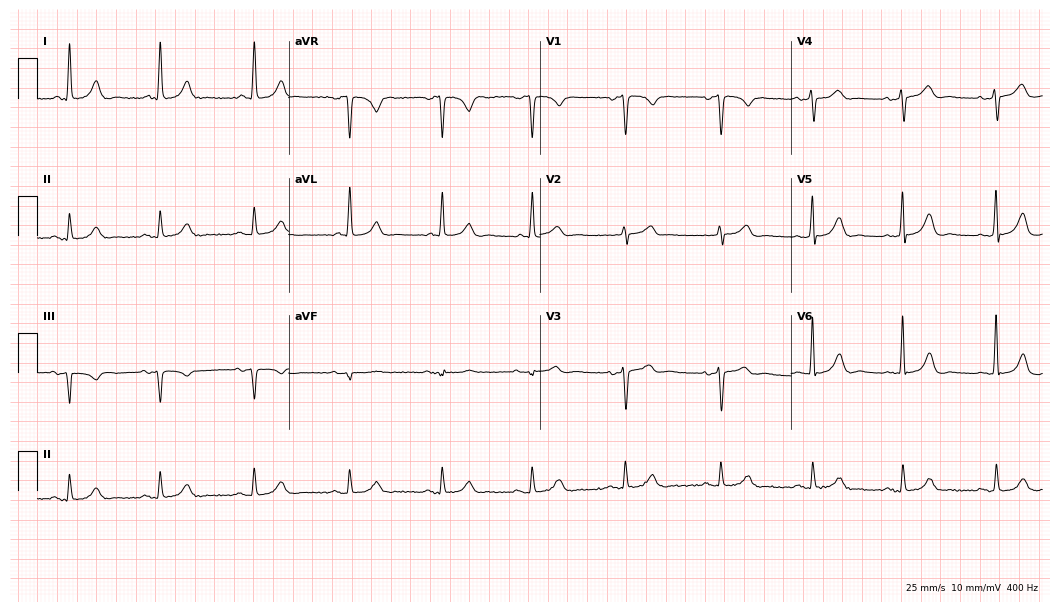
Resting 12-lead electrocardiogram. Patient: a female, 77 years old. None of these six findings is recorded: first-degree AV block, right bundle branch block, left bundle branch block, sinus bradycardia, atrial fibrillation, sinus tachycardia.